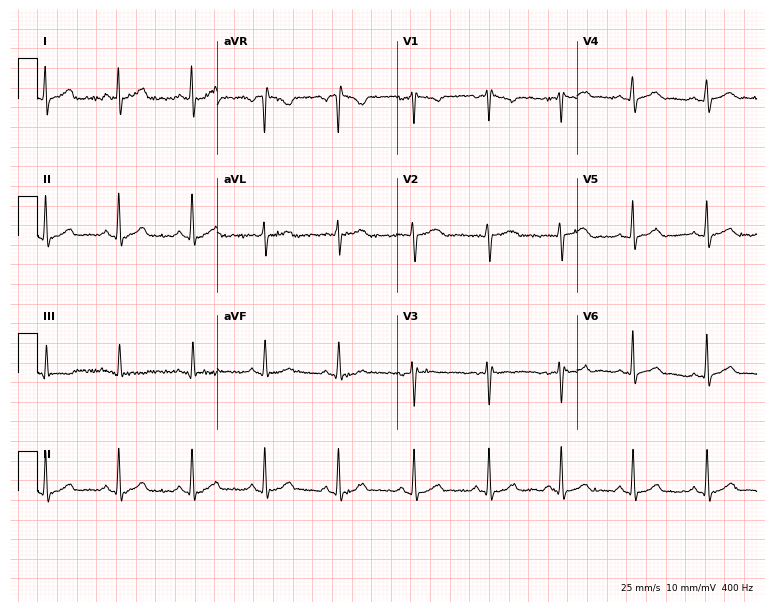
ECG (7.3-second recording at 400 Hz) — a 26-year-old female. Labelled as a normal ECG.